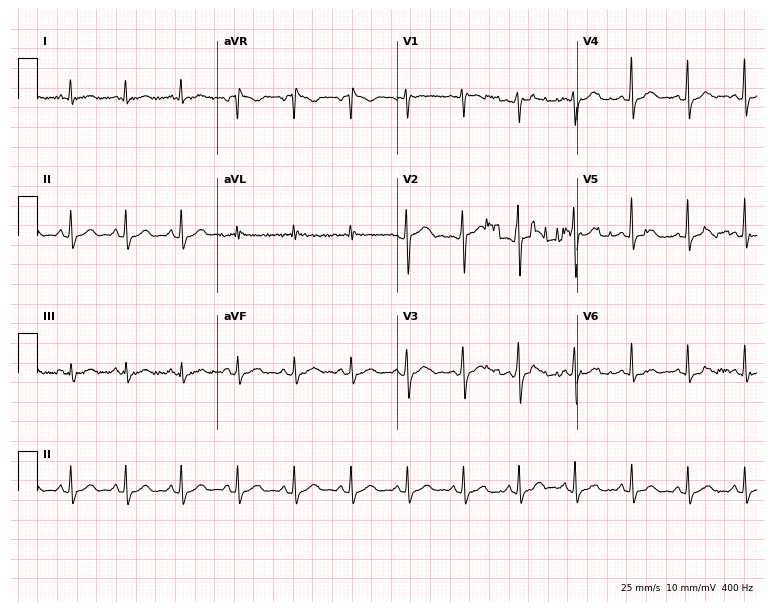
Resting 12-lead electrocardiogram. Patient: a woman, 39 years old. The tracing shows sinus tachycardia (a sinus rate of 100 beats per minute or more).